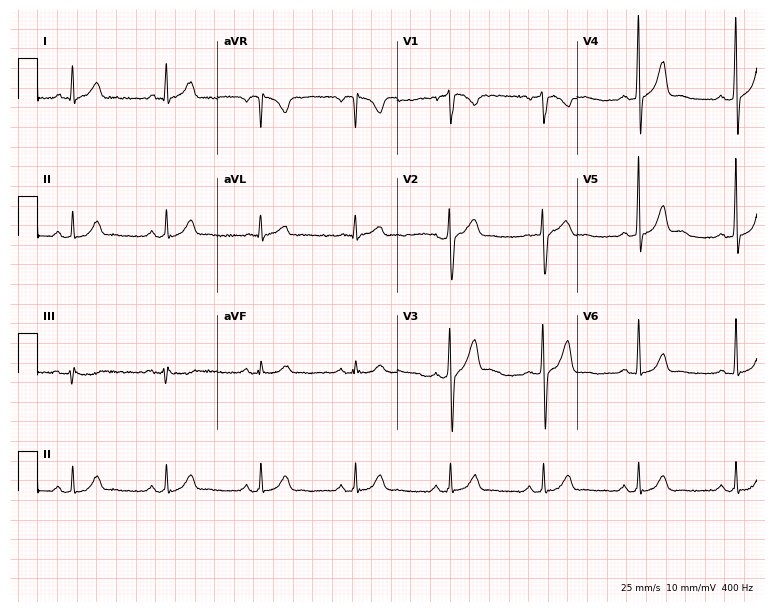
12-lead ECG from a male patient, 41 years old. Screened for six findings — first-degree AV block, right bundle branch block (RBBB), left bundle branch block (LBBB), sinus bradycardia, atrial fibrillation (AF), sinus tachycardia — none is recorded.